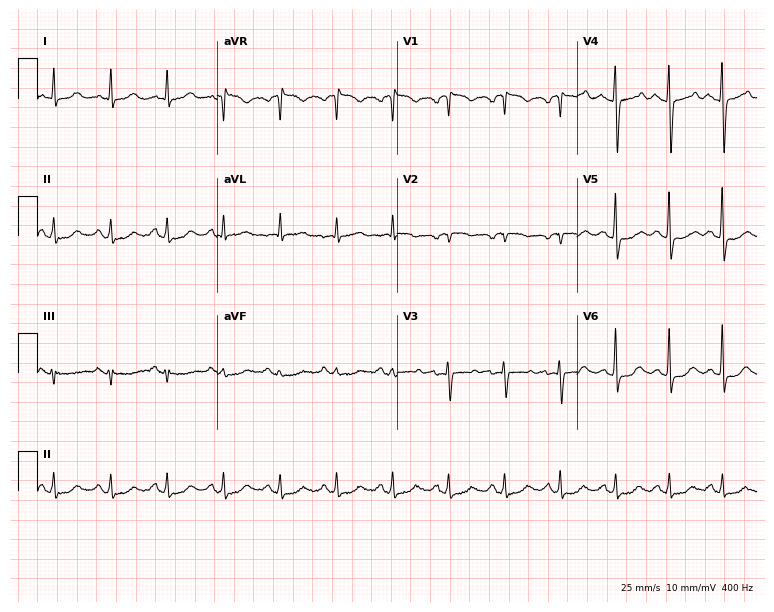
12-lead ECG from a woman, 44 years old (7.3-second recording at 400 Hz). Shows sinus tachycardia (a sinus rate of 100 beats per minute or more).